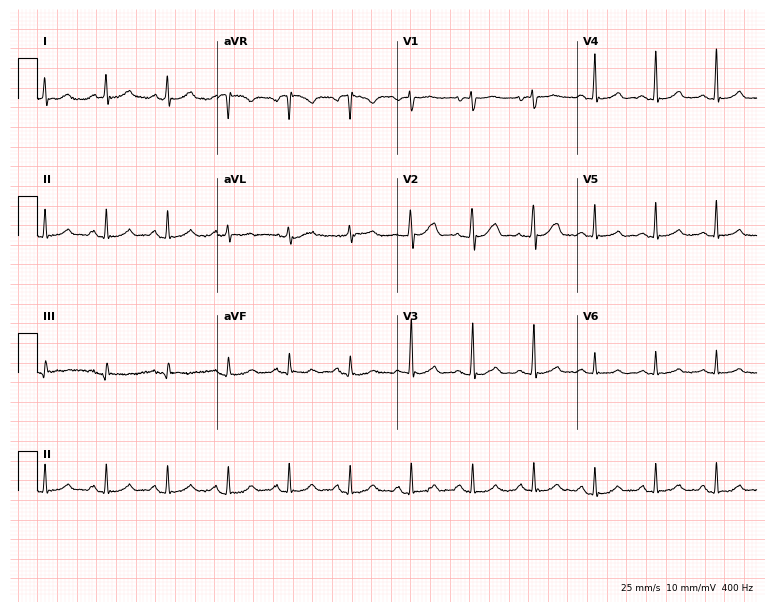
12-lead ECG from a woman, 63 years old (7.3-second recording at 400 Hz). Recorded interpretation: within normal limits.